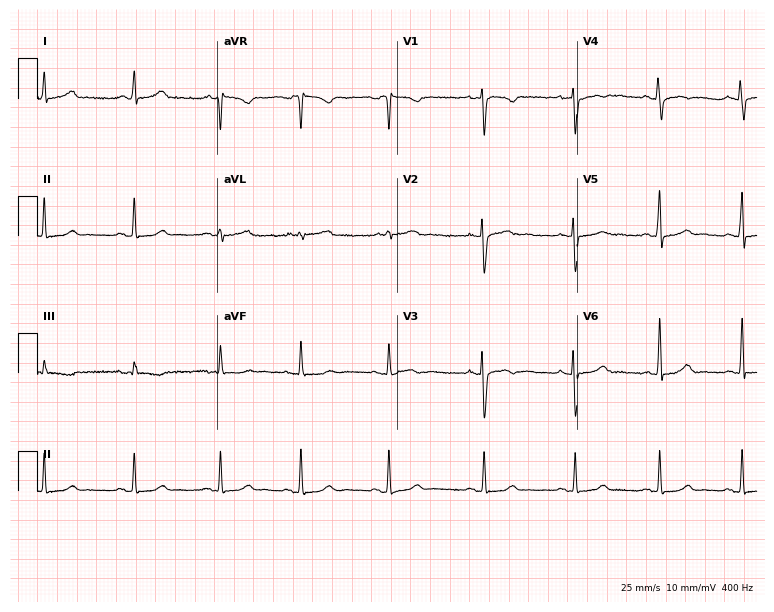
Standard 12-lead ECG recorded from a woman, 30 years old. Read as a normal ECG.